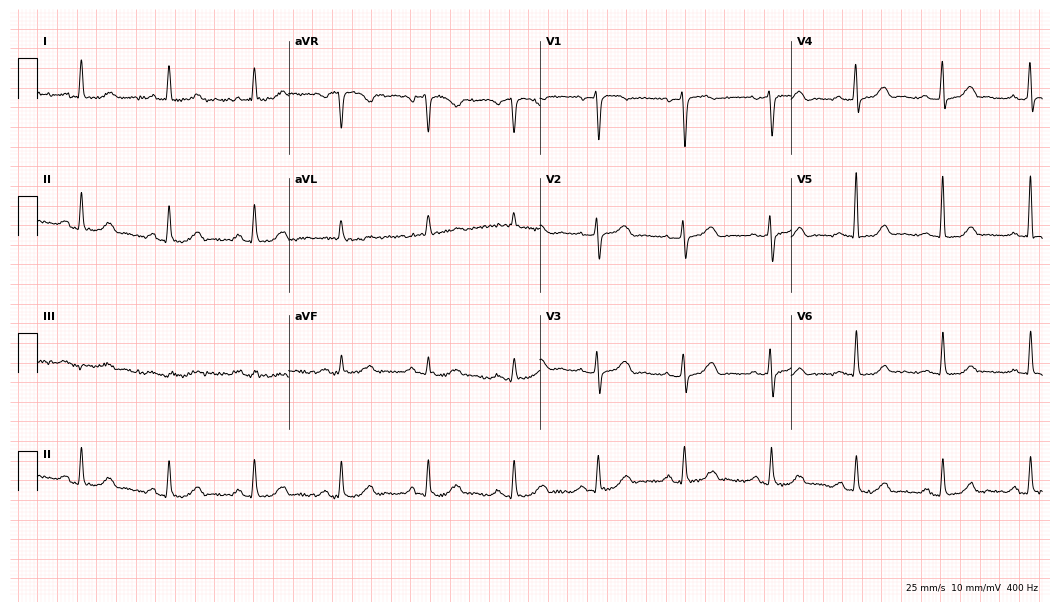
Standard 12-lead ECG recorded from a female, 64 years old (10.2-second recording at 400 Hz). Read as a normal ECG.